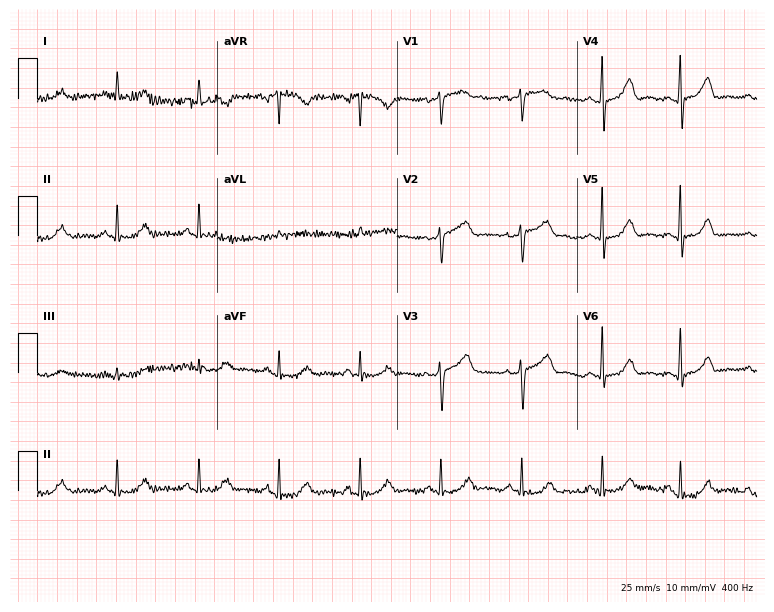
ECG — a 62-year-old female. Screened for six findings — first-degree AV block, right bundle branch block, left bundle branch block, sinus bradycardia, atrial fibrillation, sinus tachycardia — none is recorded. Only these six findings were labelled.